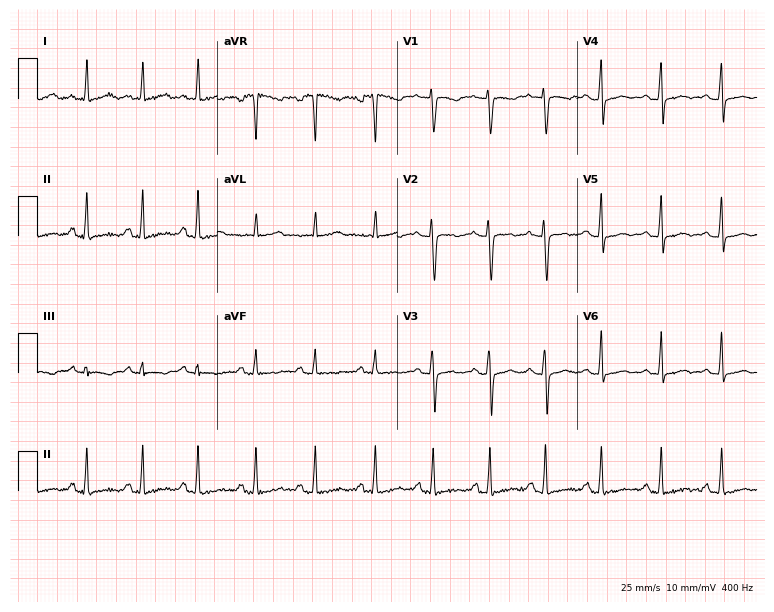
12-lead ECG from a 24-year-old female patient (7.3-second recording at 400 Hz). Shows sinus tachycardia (a sinus rate of 100 beats per minute or more).